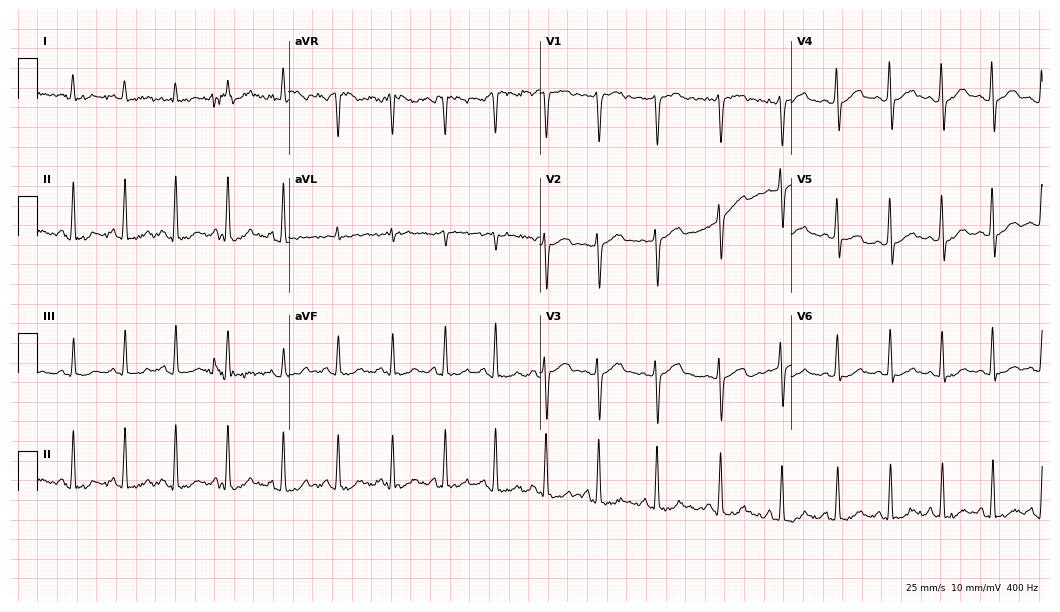
Resting 12-lead electrocardiogram (10.2-second recording at 400 Hz). Patient: a 23-year-old female. The tracing shows sinus tachycardia (a sinus rate of 100 beats per minute or more).